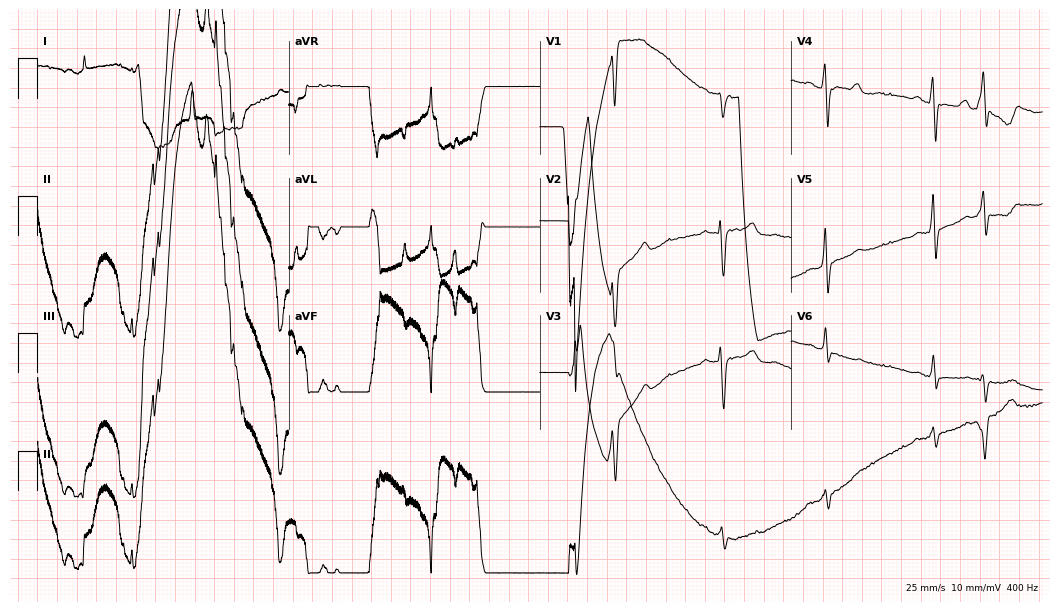
Electrocardiogram (10.2-second recording at 400 Hz), an 84-year-old female patient. Of the six screened findings (first-degree AV block, right bundle branch block, left bundle branch block, sinus bradycardia, atrial fibrillation, sinus tachycardia), none is recorded.